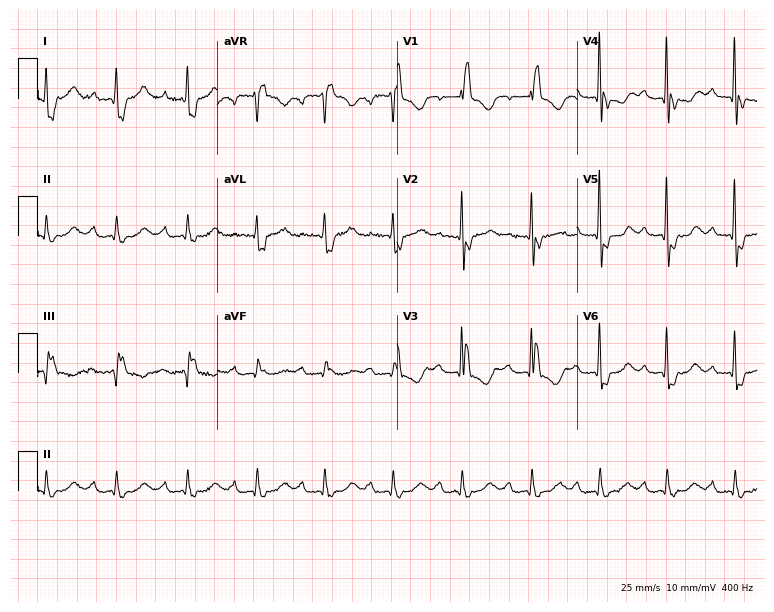
Standard 12-lead ECG recorded from a 73-year-old woman. The tracing shows first-degree AV block, right bundle branch block (RBBB).